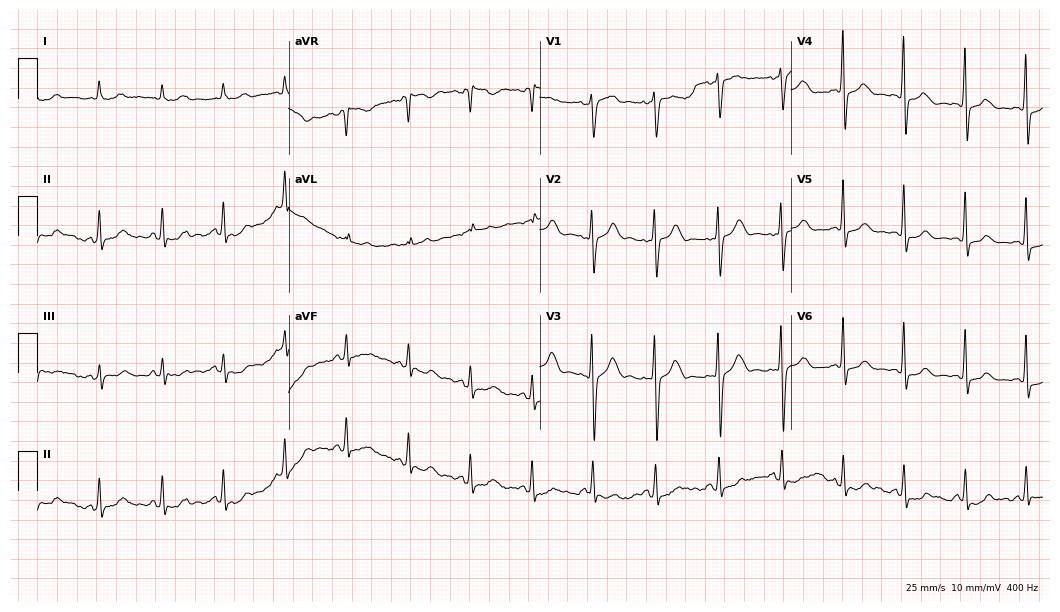
Electrocardiogram, a 34-year-old woman. Of the six screened findings (first-degree AV block, right bundle branch block, left bundle branch block, sinus bradycardia, atrial fibrillation, sinus tachycardia), none is recorded. Only these six findings were labelled.